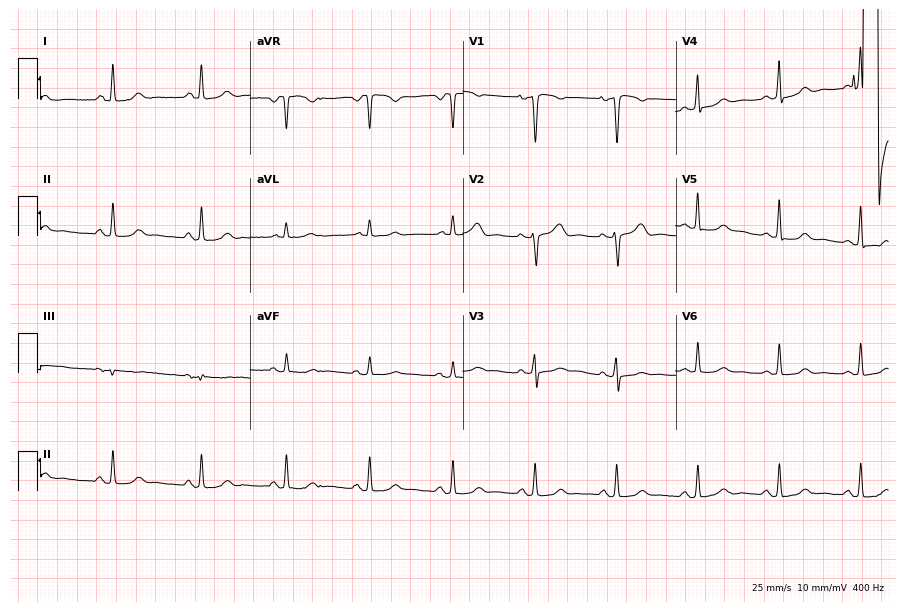
Resting 12-lead electrocardiogram. Patient: a 51-year-old woman. Read as a normal ECG.